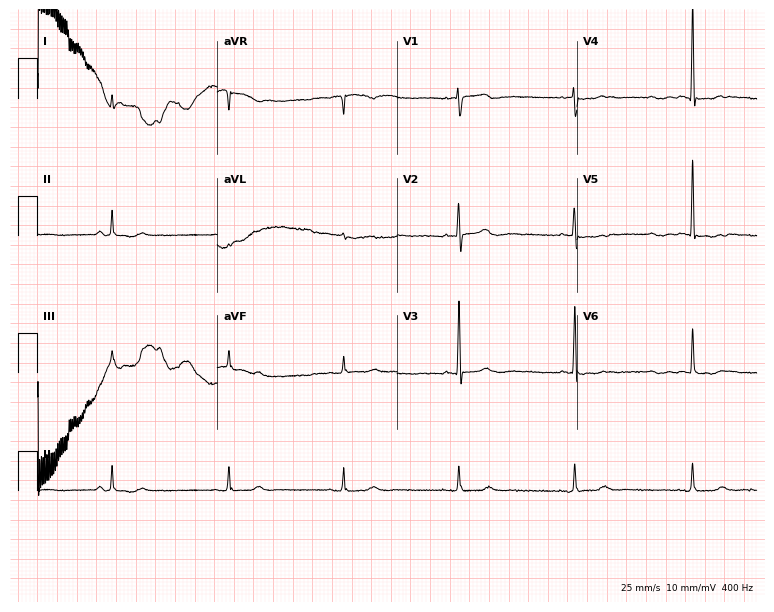
Resting 12-lead electrocardiogram (7.3-second recording at 400 Hz). Patient: an 85-year-old female. None of these six findings is recorded: first-degree AV block, right bundle branch block (RBBB), left bundle branch block (LBBB), sinus bradycardia, atrial fibrillation (AF), sinus tachycardia. Findings outside these six are not listed.